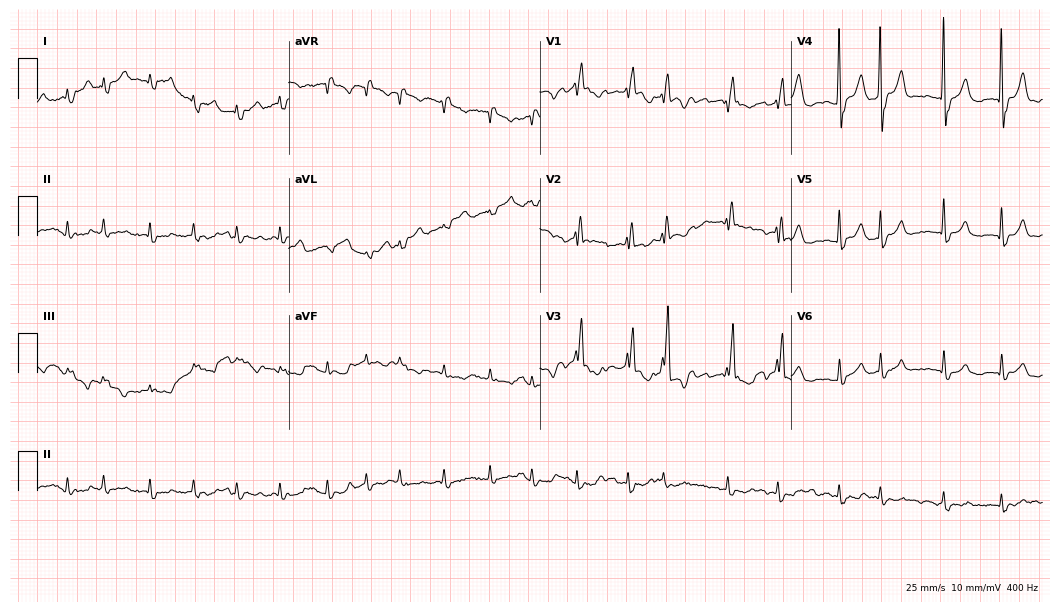
Standard 12-lead ECG recorded from an 85-year-old woman (10.2-second recording at 400 Hz). The tracing shows atrial fibrillation, sinus tachycardia (a sinus rate of 100 beats per minute or more).